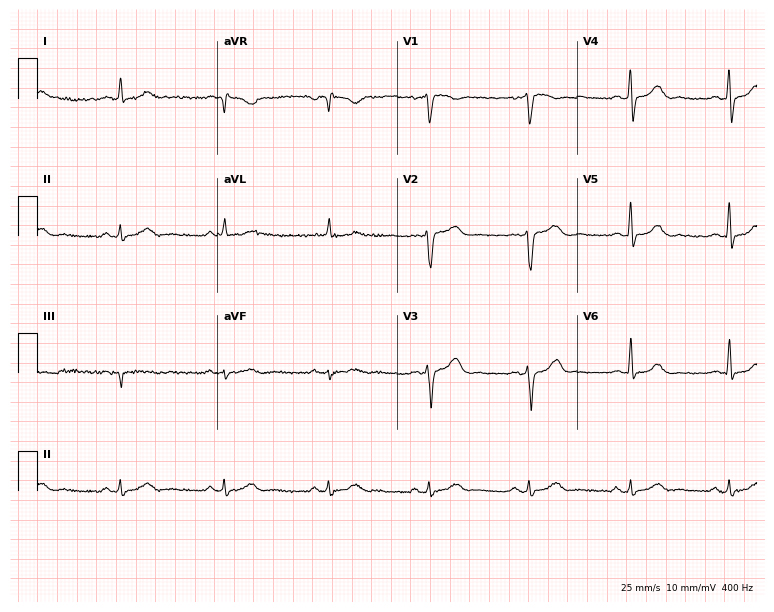
12-lead ECG (7.3-second recording at 400 Hz) from a 57-year-old male. Labelled as a normal ECG.